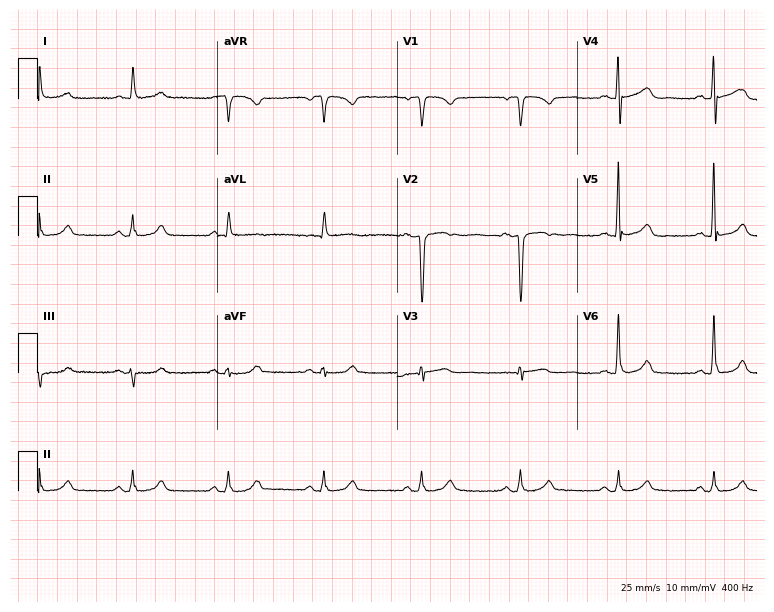
Standard 12-lead ECG recorded from a 73-year-old man. Read as a normal ECG.